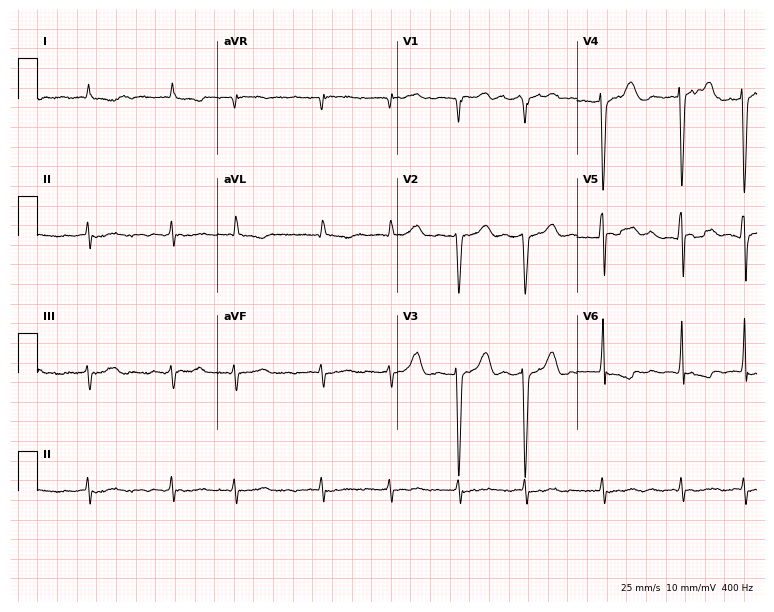
Standard 12-lead ECG recorded from a male, 77 years old. The tracing shows atrial fibrillation.